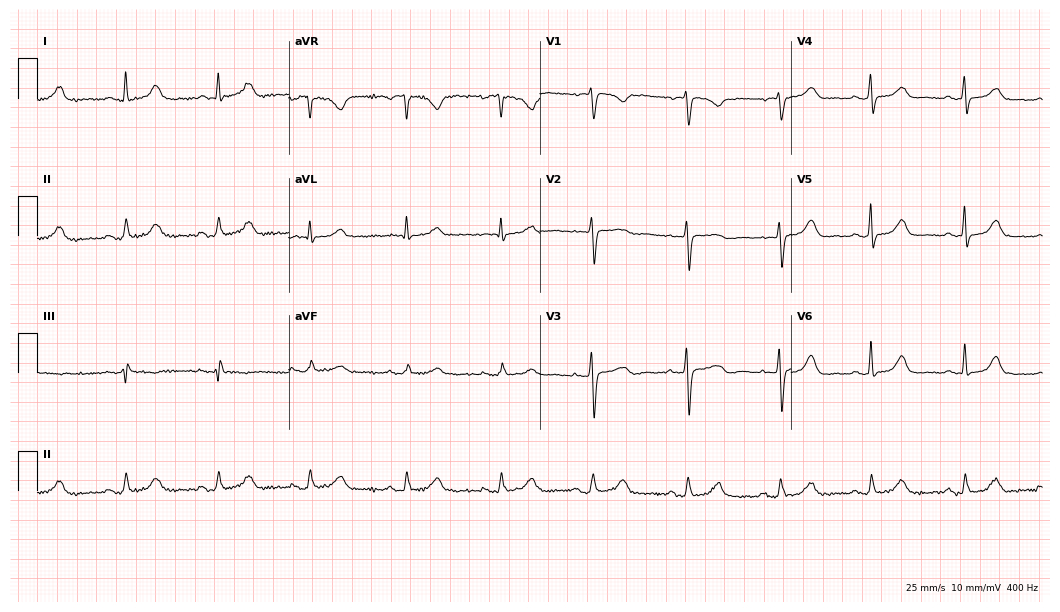
Electrocardiogram, a female patient, 61 years old. Overall reading on record: normal ECG.